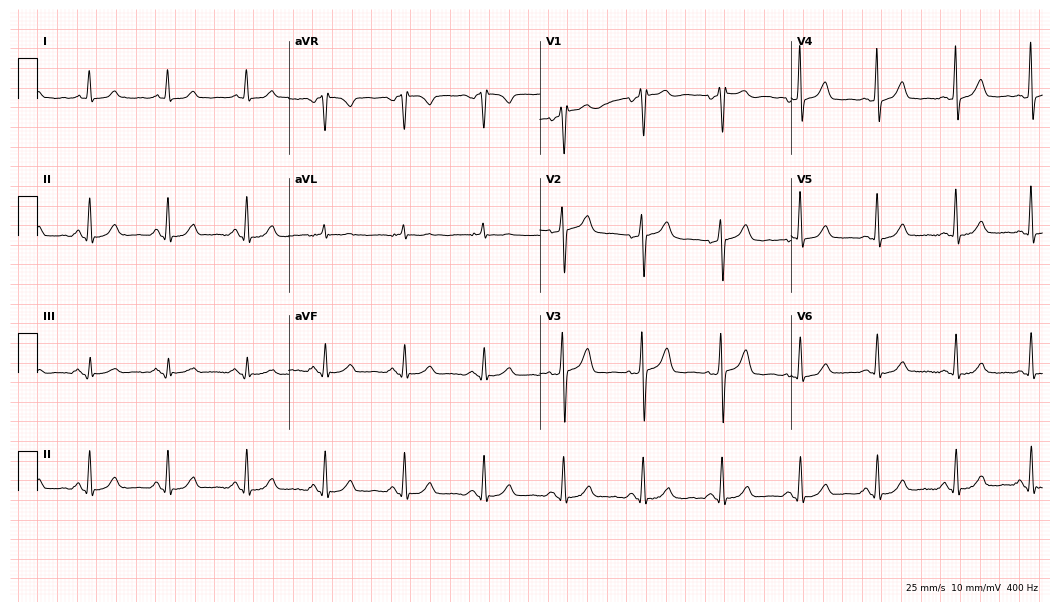
12-lead ECG from a man, 64 years old (10.2-second recording at 400 Hz). Recorded interpretation: within normal limits.